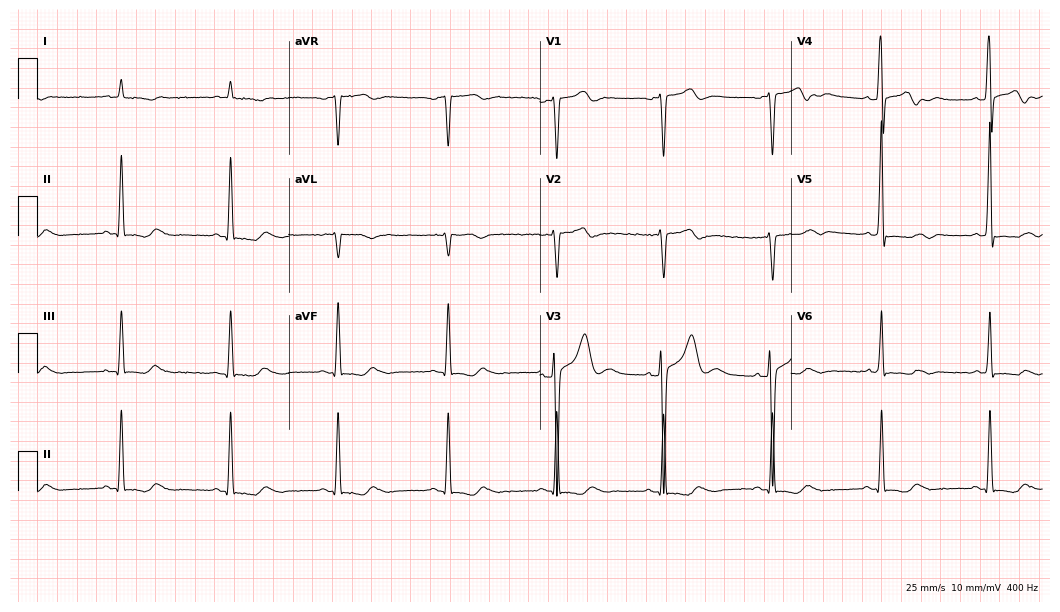
12-lead ECG from a 75-year-old male. No first-degree AV block, right bundle branch block, left bundle branch block, sinus bradycardia, atrial fibrillation or sinus tachycardia recorded for this tracing.